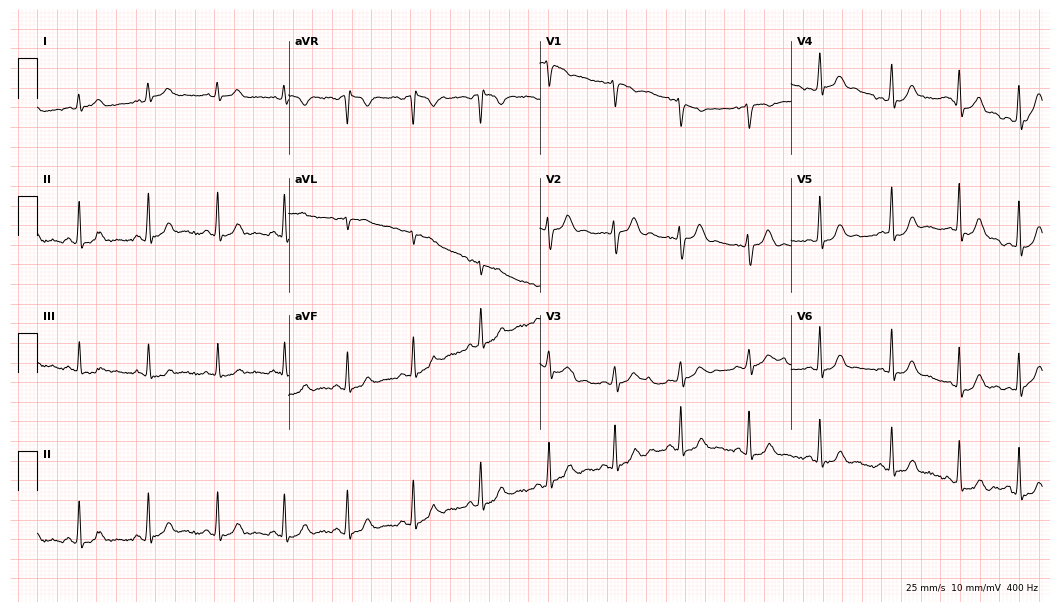
12-lead ECG from a woman, 25 years old. Recorded interpretation: within normal limits.